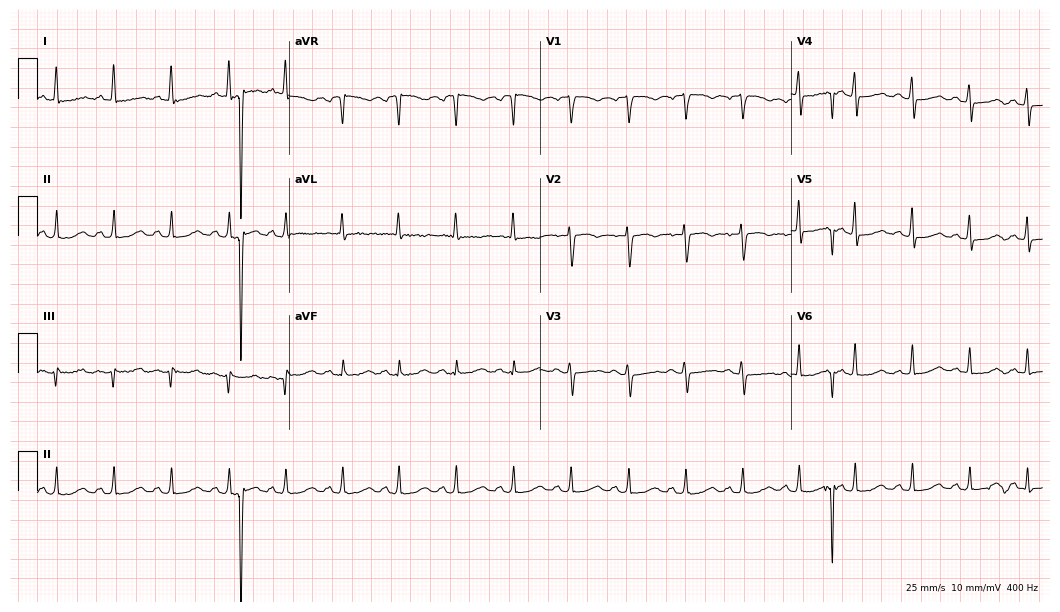
12-lead ECG from a woman, 64 years old (10.2-second recording at 400 Hz). Shows sinus tachycardia (a sinus rate of 100 beats per minute or more).